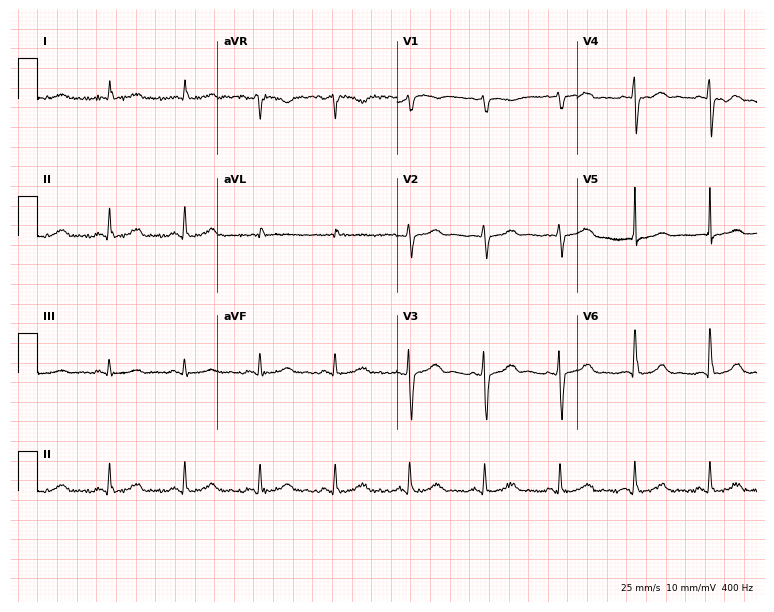
Resting 12-lead electrocardiogram (7.3-second recording at 400 Hz). Patient: a 73-year-old male. None of these six findings is recorded: first-degree AV block, right bundle branch block, left bundle branch block, sinus bradycardia, atrial fibrillation, sinus tachycardia. Findings outside these six are not listed.